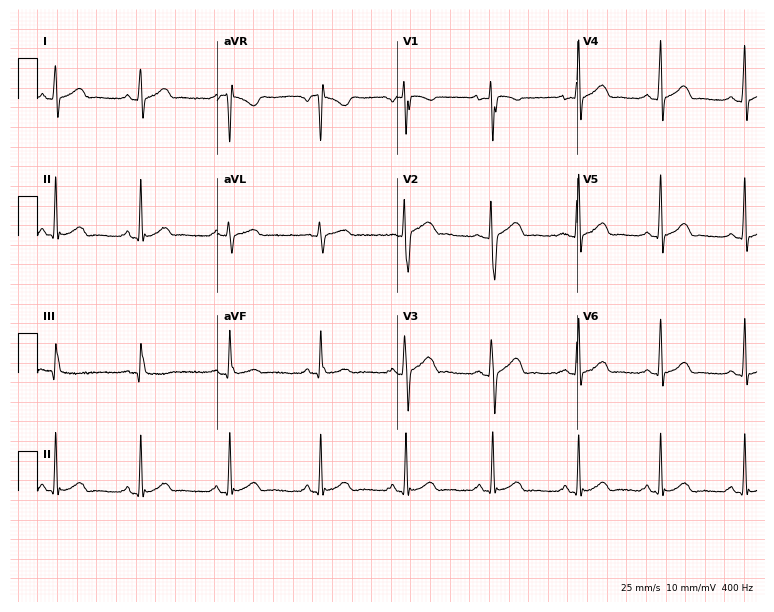
Electrocardiogram (7.3-second recording at 400 Hz), a female patient, 18 years old. Overall reading on record: normal ECG.